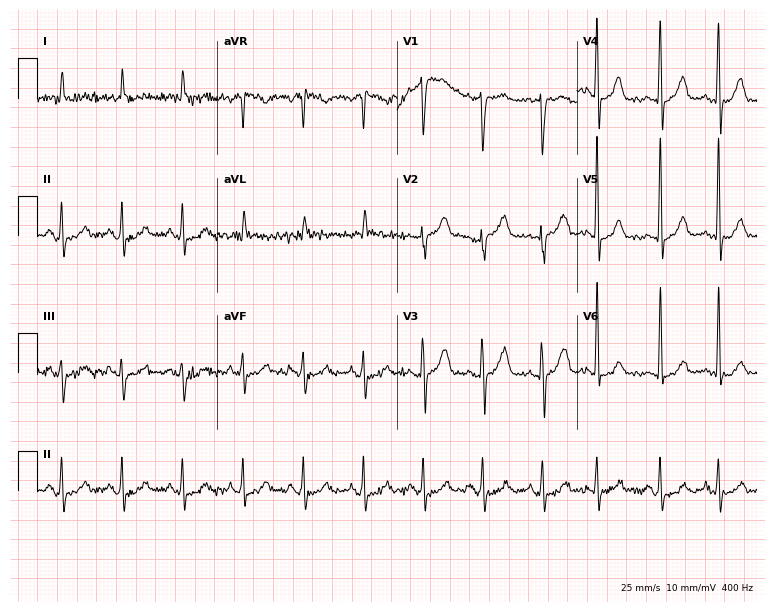
Standard 12-lead ECG recorded from a man, 79 years old. None of these six findings is recorded: first-degree AV block, right bundle branch block, left bundle branch block, sinus bradycardia, atrial fibrillation, sinus tachycardia.